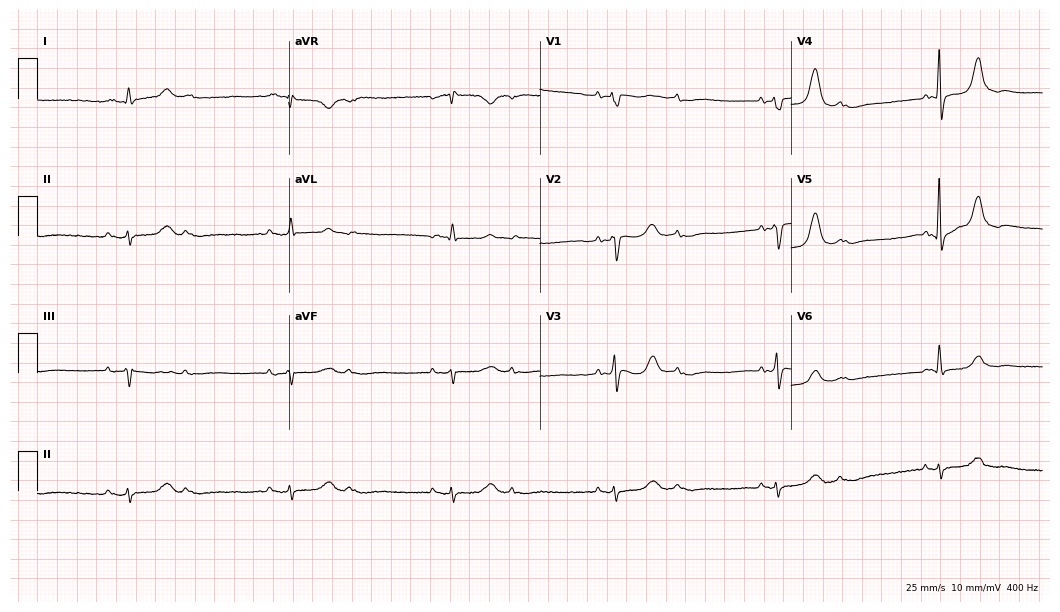
Electrocardiogram (10.2-second recording at 400 Hz), a 68-year-old female patient. Of the six screened findings (first-degree AV block, right bundle branch block (RBBB), left bundle branch block (LBBB), sinus bradycardia, atrial fibrillation (AF), sinus tachycardia), none is recorded.